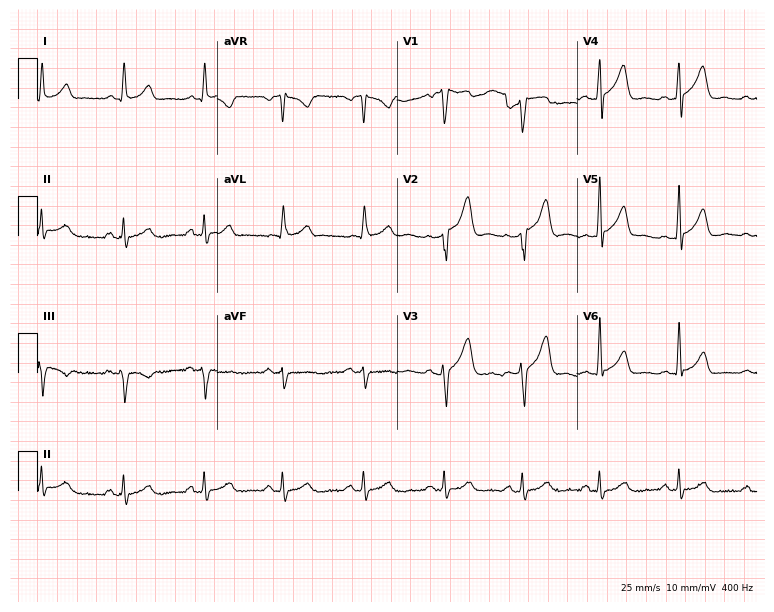
12-lead ECG (7.3-second recording at 400 Hz) from a male patient, 55 years old. Labelled as a normal ECG.